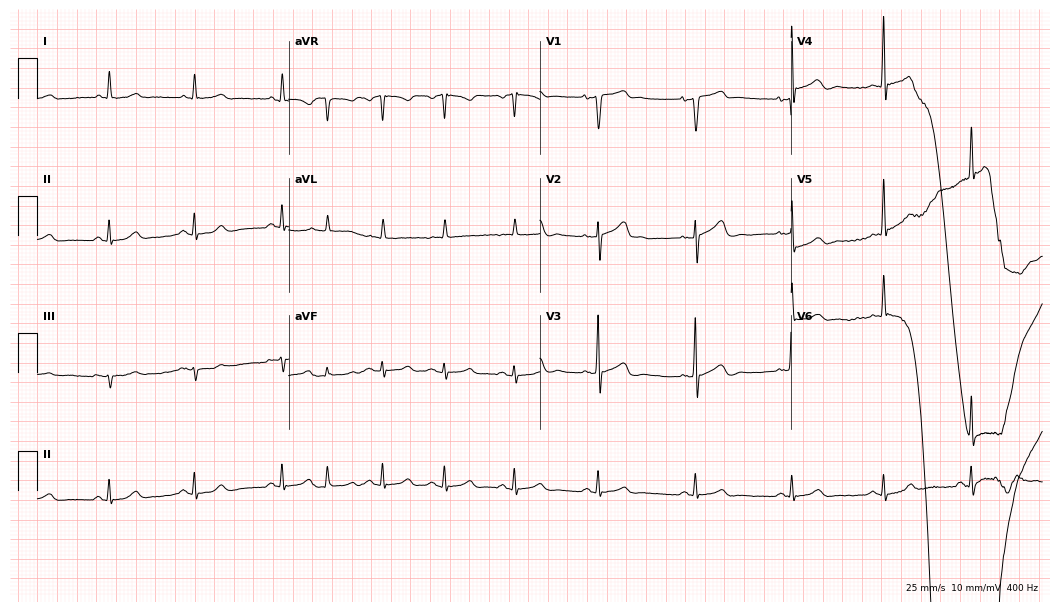
12-lead ECG (10.2-second recording at 400 Hz) from a 68-year-old male patient. Screened for six findings — first-degree AV block, right bundle branch block (RBBB), left bundle branch block (LBBB), sinus bradycardia, atrial fibrillation (AF), sinus tachycardia — none is recorded.